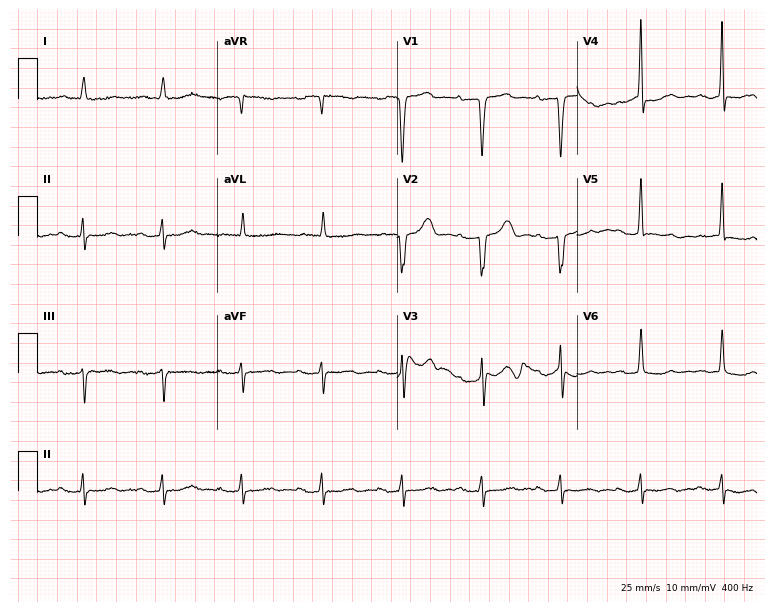
Resting 12-lead electrocardiogram (7.3-second recording at 400 Hz). Patient: an 80-year-old female. None of these six findings is recorded: first-degree AV block, right bundle branch block, left bundle branch block, sinus bradycardia, atrial fibrillation, sinus tachycardia.